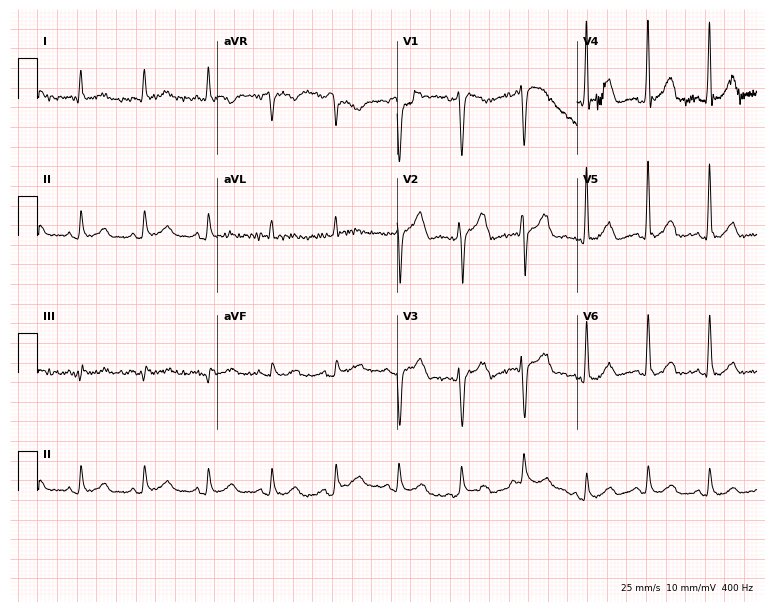
ECG — a male, 40 years old. Screened for six findings — first-degree AV block, right bundle branch block, left bundle branch block, sinus bradycardia, atrial fibrillation, sinus tachycardia — none is recorded.